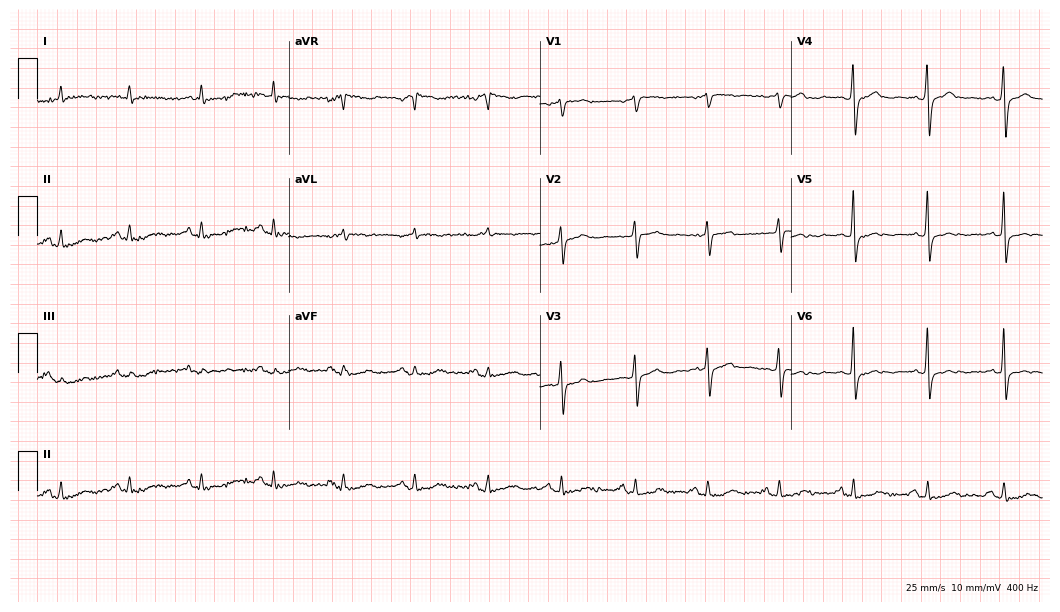
12-lead ECG from a female patient, 66 years old (10.2-second recording at 400 Hz). No first-degree AV block, right bundle branch block, left bundle branch block, sinus bradycardia, atrial fibrillation or sinus tachycardia recorded for this tracing. Findings outside these six are not listed.